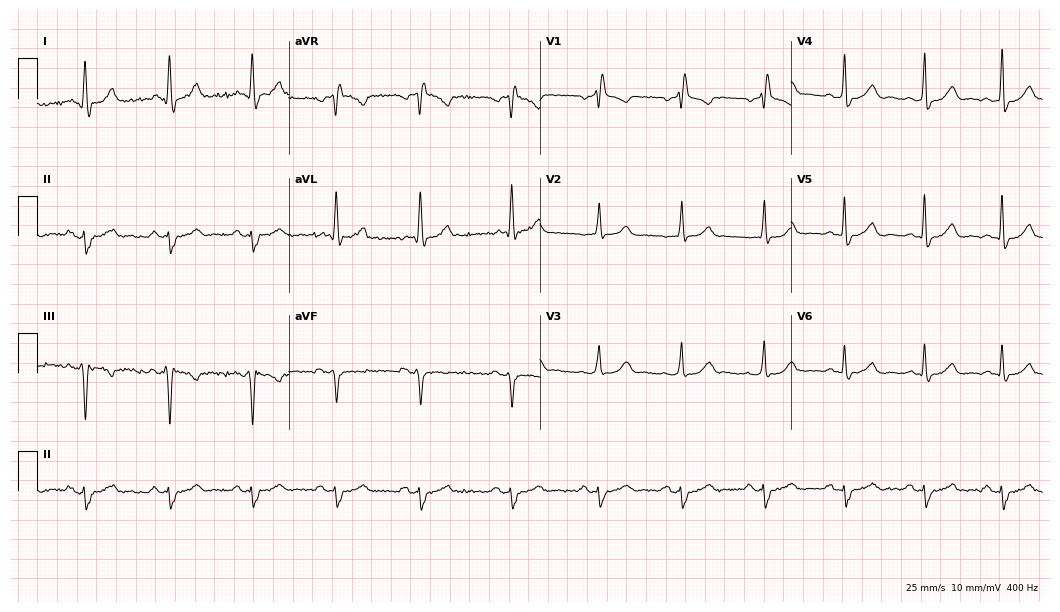
ECG (10.2-second recording at 400 Hz) — a male, 65 years old. Findings include right bundle branch block.